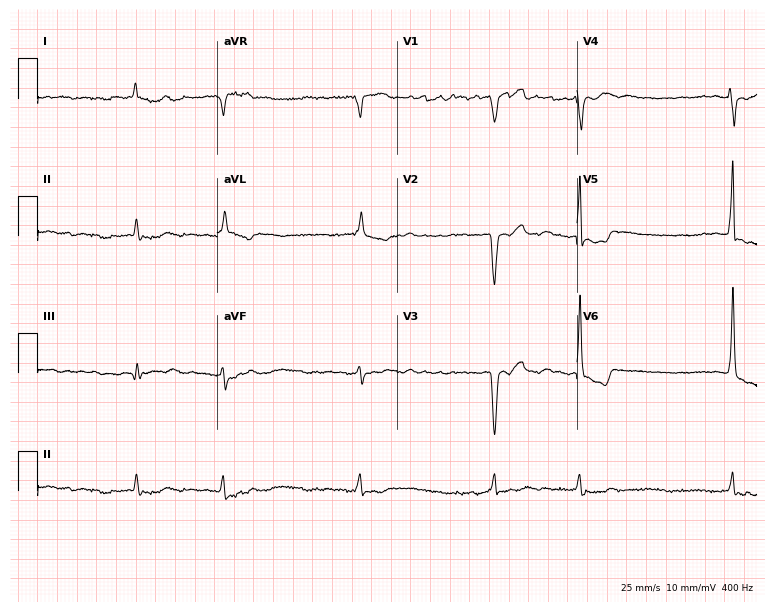
Standard 12-lead ECG recorded from an 83-year-old female patient. The tracing shows atrial fibrillation (AF).